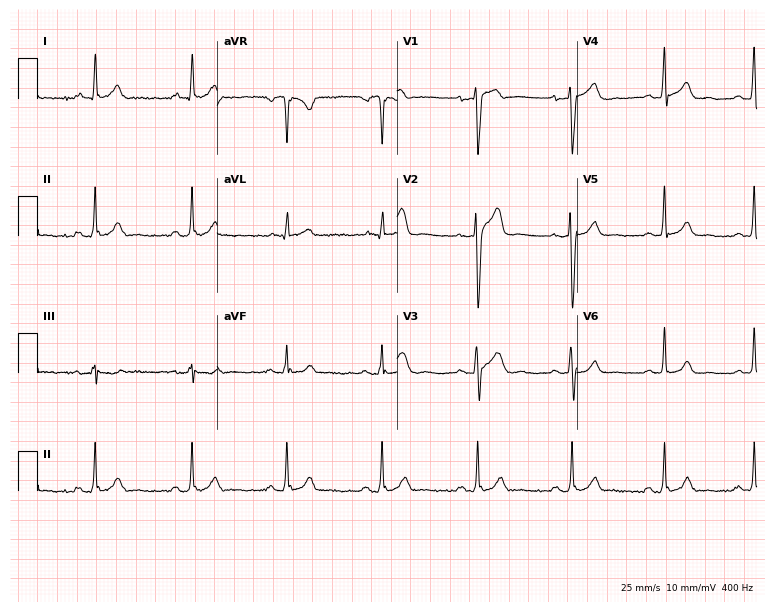
Electrocardiogram (7.3-second recording at 400 Hz), a 24-year-old man. Overall reading on record: normal ECG.